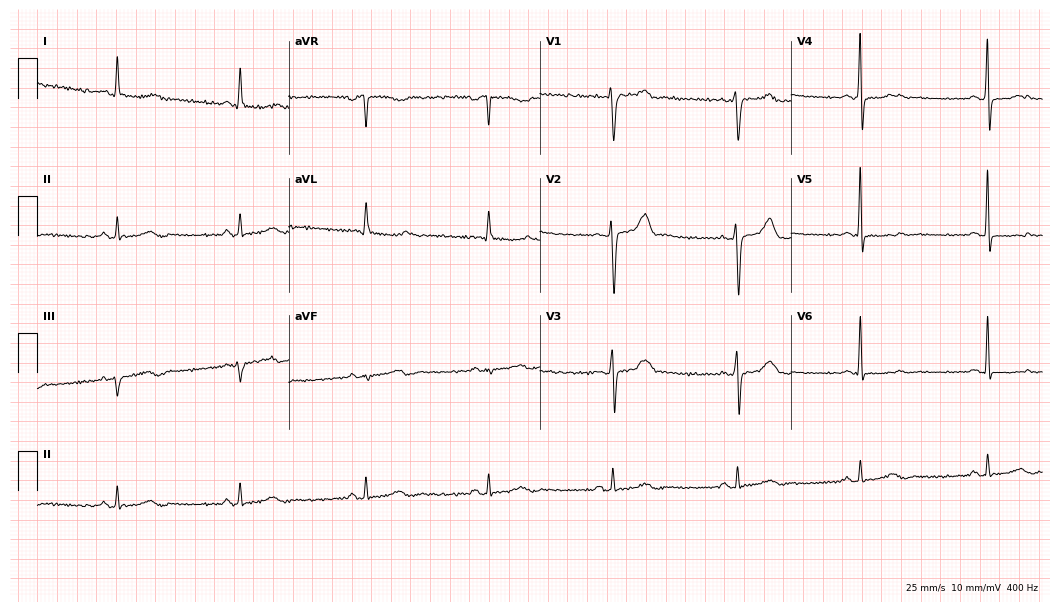
Electrocardiogram (10.2-second recording at 400 Hz), a male, 50 years old. Interpretation includes sinus bradycardia (a sinus rate of 50 beats per minute or less).